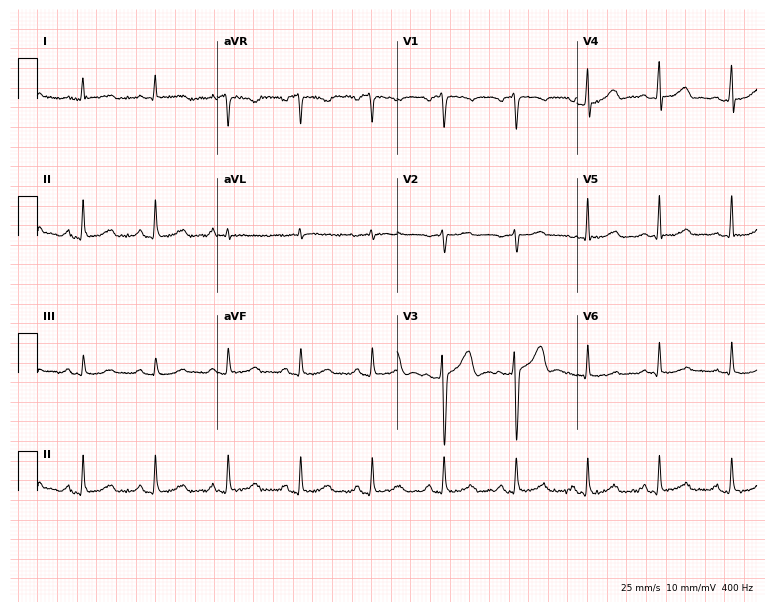
12-lead ECG from a male patient, 45 years old (7.3-second recording at 400 Hz). Recorded interpretation: within normal limits.